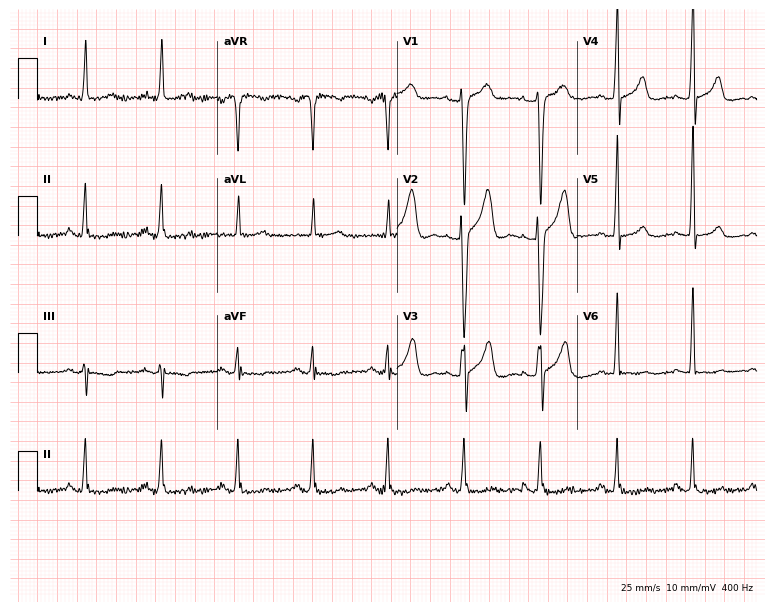
12-lead ECG (7.3-second recording at 400 Hz) from a 51-year-old male patient. Screened for six findings — first-degree AV block, right bundle branch block (RBBB), left bundle branch block (LBBB), sinus bradycardia, atrial fibrillation (AF), sinus tachycardia — none is recorded. Other findings, if any, are not listed.